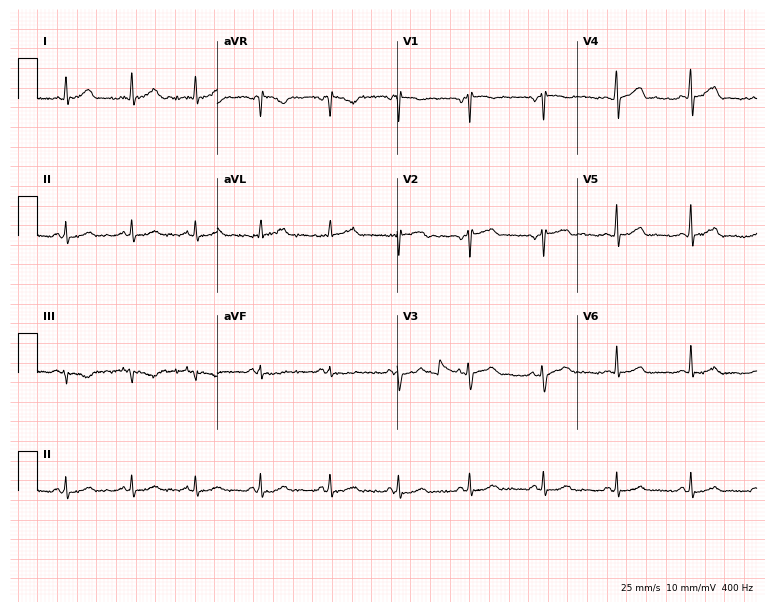
12-lead ECG (7.3-second recording at 400 Hz) from a man, 34 years old. Labelled as a normal ECG.